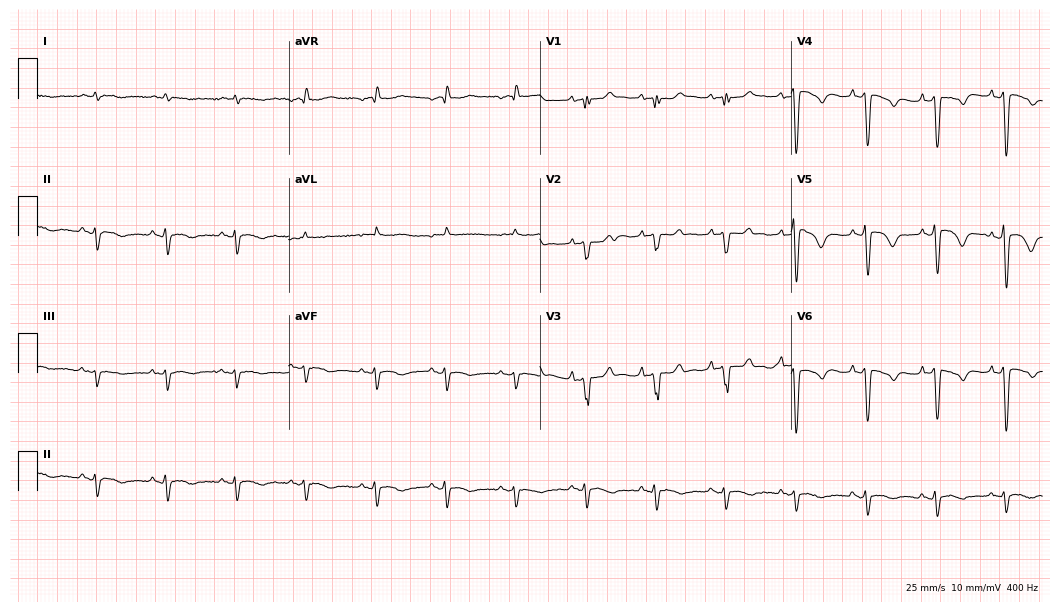
12-lead ECG (10.2-second recording at 400 Hz) from an 83-year-old man. Screened for six findings — first-degree AV block, right bundle branch block, left bundle branch block, sinus bradycardia, atrial fibrillation, sinus tachycardia — none is recorded.